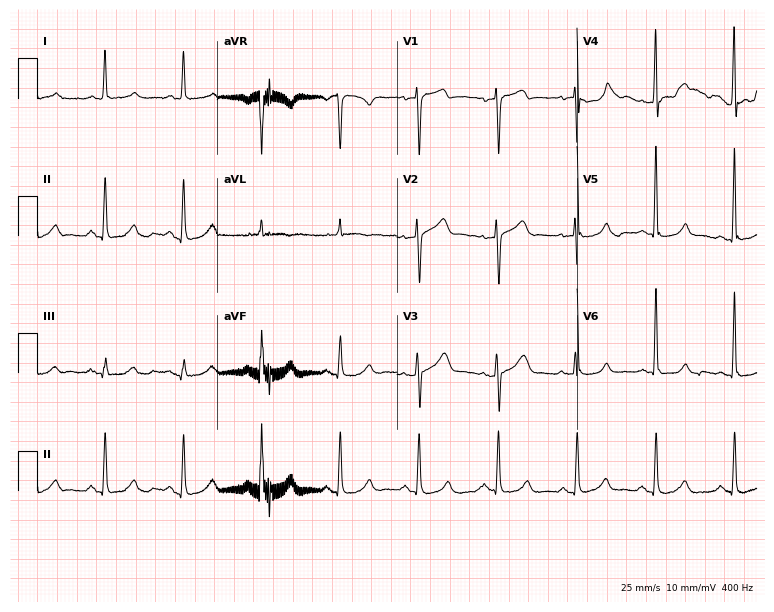
12-lead ECG from a female, 66 years old. Screened for six findings — first-degree AV block, right bundle branch block, left bundle branch block, sinus bradycardia, atrial fibrillation, sinus tachycardia — none is recorded. Findings outside these six are not listed.